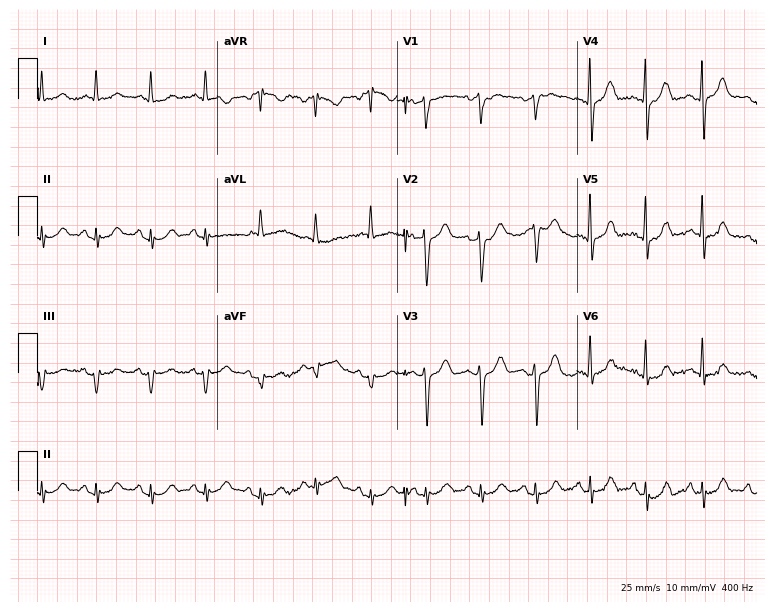
Resting 12-lead electrocardiogram (7.3-second recording at 400 Hz). Patient: a 70-year-old woman. The tracing shows sinus tachycardia (a sinus rate of 100 beats per minute or more).